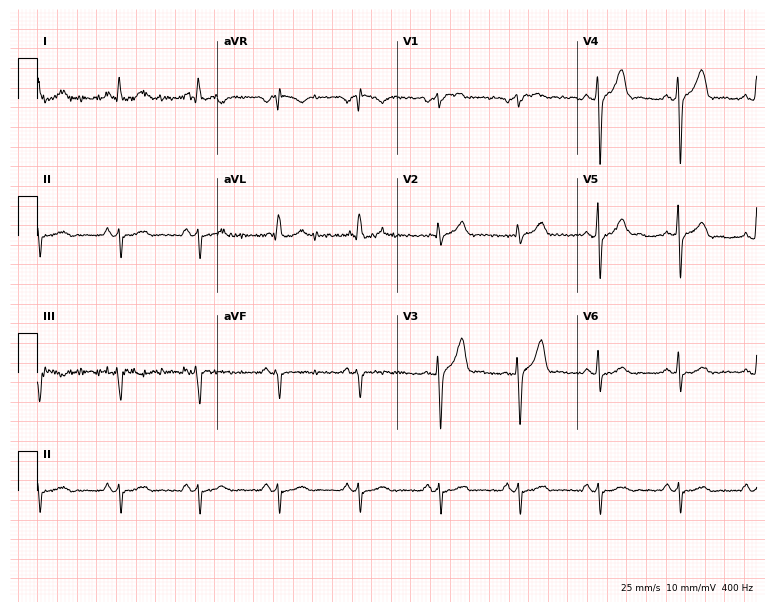
Standard 12-lead ECG recorded from a 59-year-old man. None of these six findings is recorded: first-degree AV block, right bundle branch block, left bundle branch block, sinus bradycardia, atrial fibrillation, sinus tachycardia. Findings outside these six are not listed.